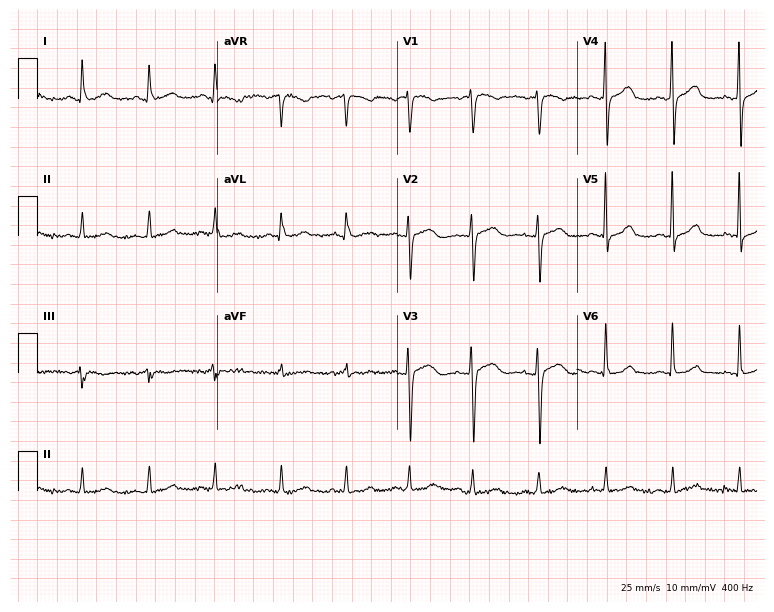
ECG — a 52-year-old female. Screened for six findings — first-degree AV block, right bundle branch block, left bundle branch block, sinus bradycardia, atrial fibrillation, sinus tachycardia — none is recorded. Findings outside these six are not listed.